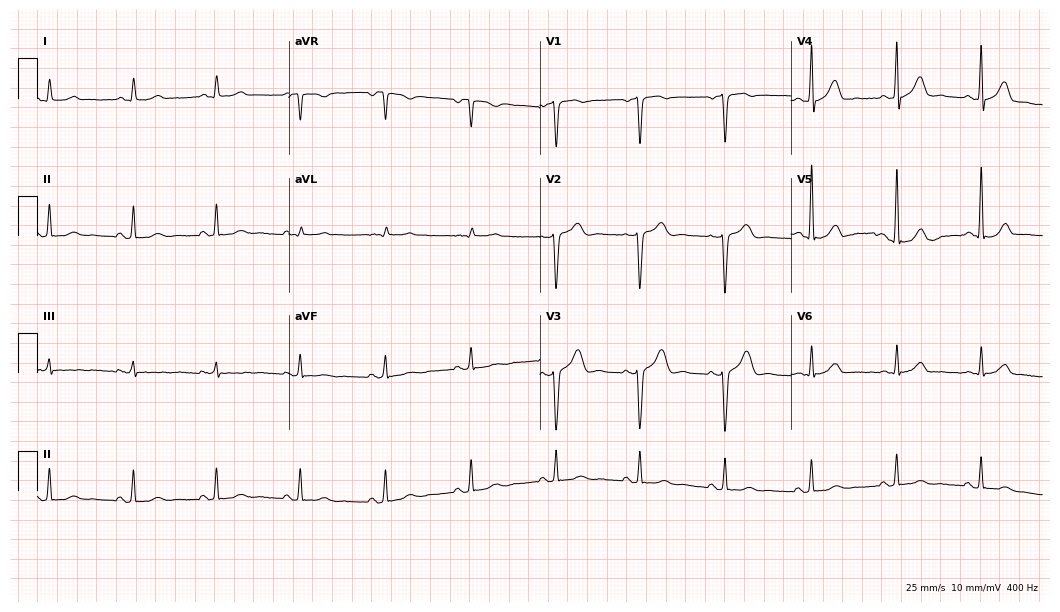
Standard 12-lead ECG recorded from a man, 77 years old. None of these six findings is recorded: first-degree AV block, right bundle branch block (RBBB), left bundle branch block (LBBB), sinus bradycardia, atrial fibrillation (AF), sinus tachycardia. Findings outside these six are not listed.